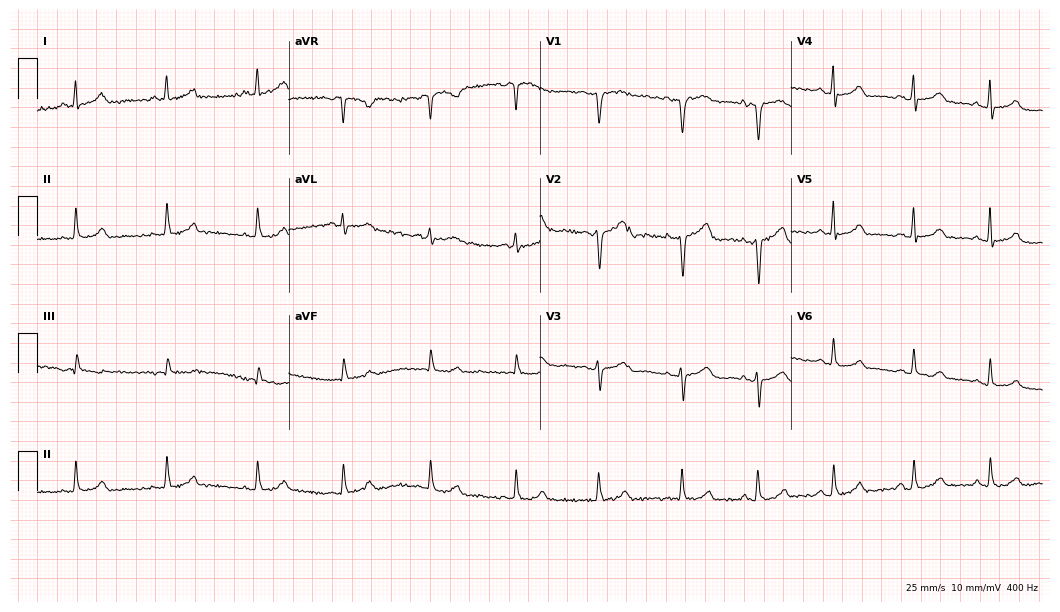
Resting 12-lead electrocardiogram (10.2-second recording at 400 Hz). Patient: a 52-year-old woman. None of these six findings is recorded: first-degree AV block, right bundle branch block, left bundle branch block, sinus bradycardia, atrial fibrillation, sinus tachycardia.